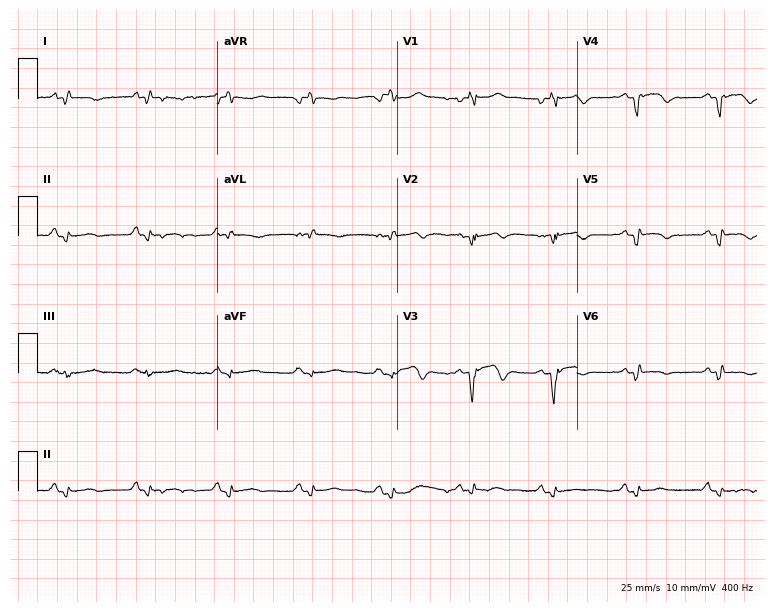
ECG — a male patient, 84 years old. Screened for six findings — first-degree AV block, right bundle branch block, left bundle branch block, sinus bradycardia, atrial fibrillation, sinus tachycardia — none is recorded.